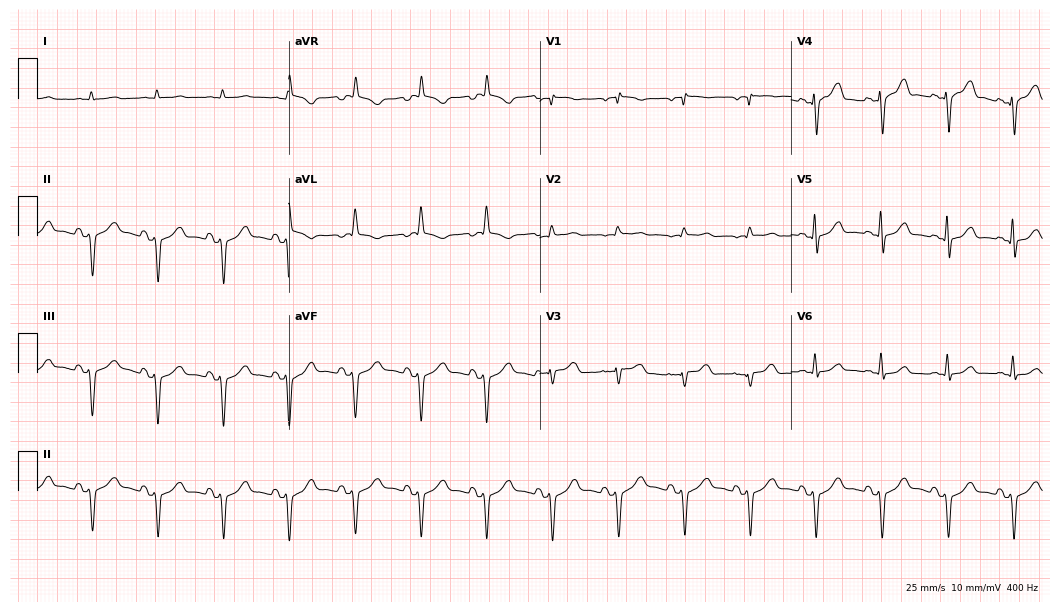
Resting 12-lead electrocardiogram (10.2-second recording at 400 Hz). Patient: a male, 85 years old. None of these six findings is recorded: first-degree AV block, right bundle branch block (RBBB), left bundle branch block (LBBB), sinus bradycardia, atrial fibrillation (AF), sinus tachycardia. Other findings, if any, are not listed.